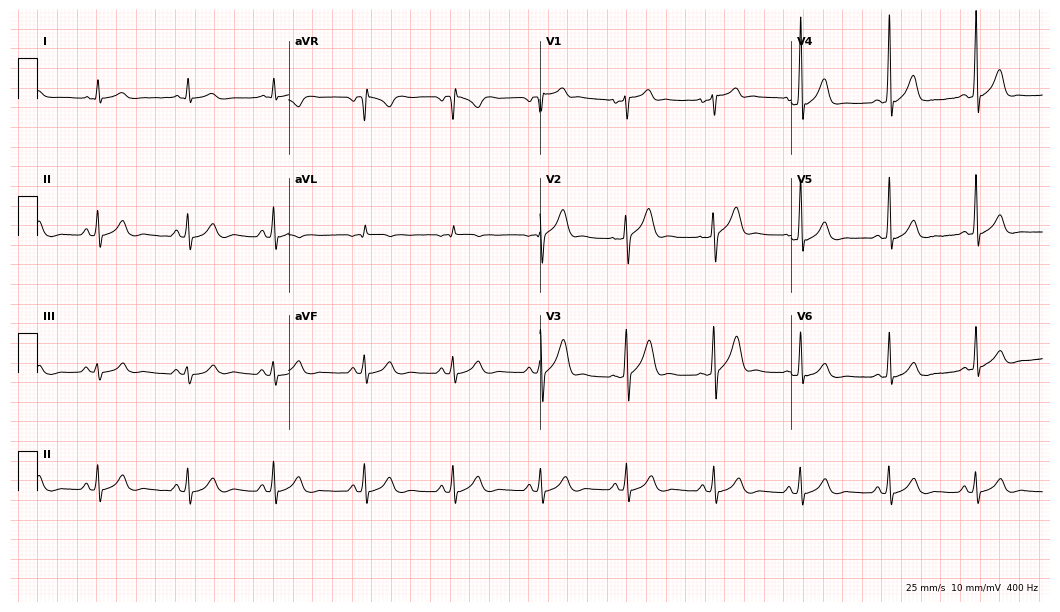
Standard 12-lead ECG recorded from a 31-year-old male patient. None of these six findings is recorded: first-degree AV block, right bundle branch block, left bundle branch block, sinus bradycardia, atrial fibrillation, sinus tachycardia. Other findings, if any, are not listed.